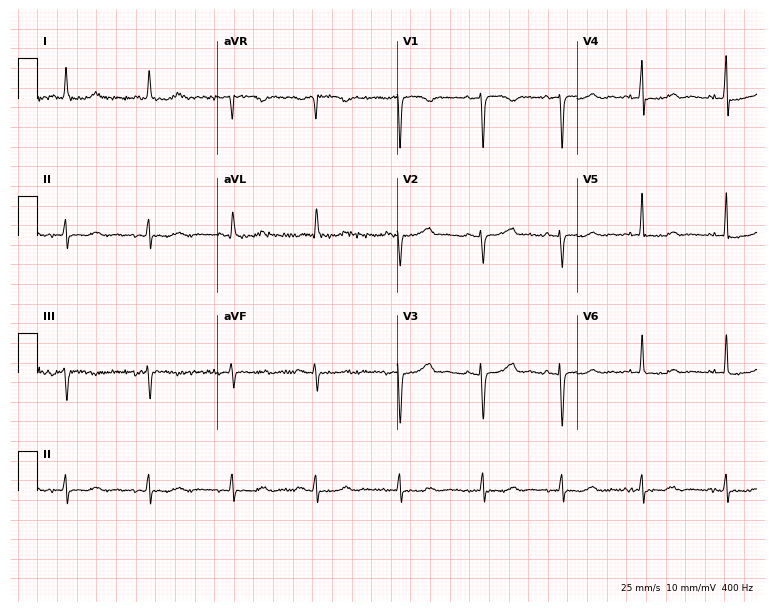
Standard 12-lead ECG recorded from a 72-year-old female (7.3-second recording at 400 Hz). None of these six findings is recorded: first-degree AV block, right bundle branch block (RBBB), left bundle branch block (LBBB), sinus bradycardia, atrial fibrillation (AF), sinus tachycardia. Only these six findings were labelled.